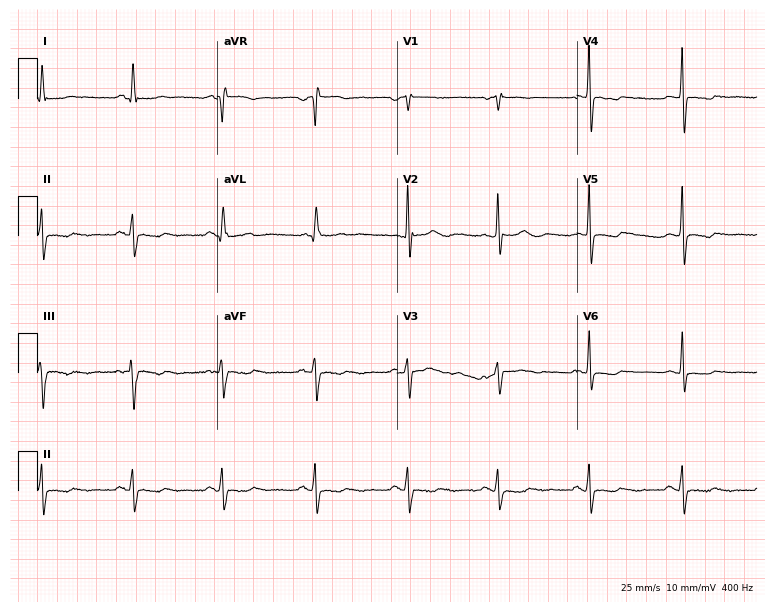
12-lead ECG from a woman, 66 years old. Screened for six findings — first-degree AV block, right bundle branch block (RBBB), left bundle branch block (LBBB), sinus bradycardia, atrial fibrillation (AF), sinus tachycardia — none is recorded.